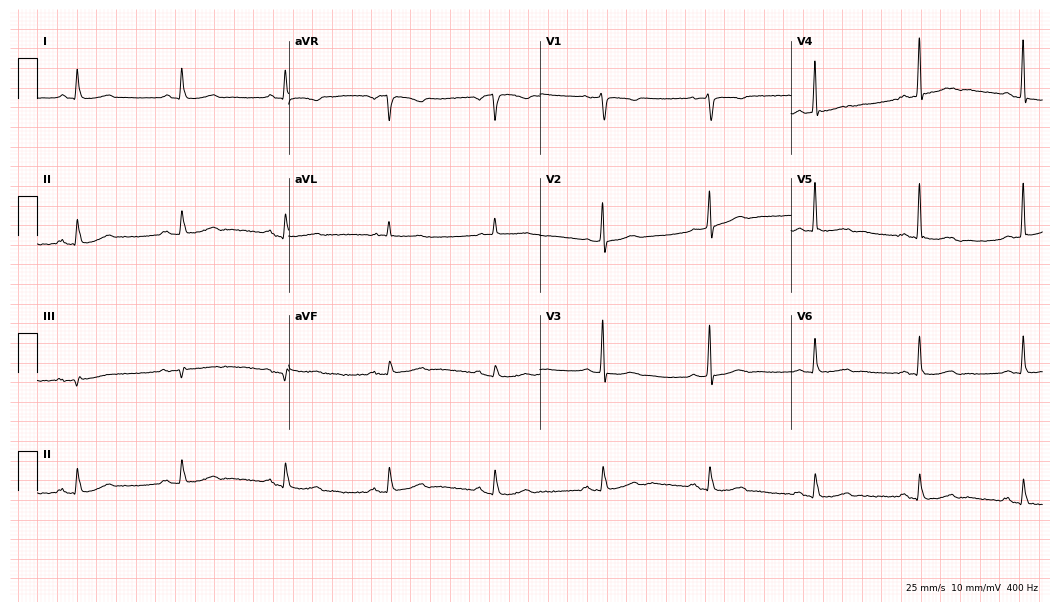
12-lead ECG (10.2-second recording at 400 Hz) from a male, 73 years old. Screened for six findings — first-degree AV block, right bundle branch block (RBBB), left bundle branch block (LBBB), sinus bradycardia, atrial fibrillation (AF), sinus tachycardia — none is recorded.